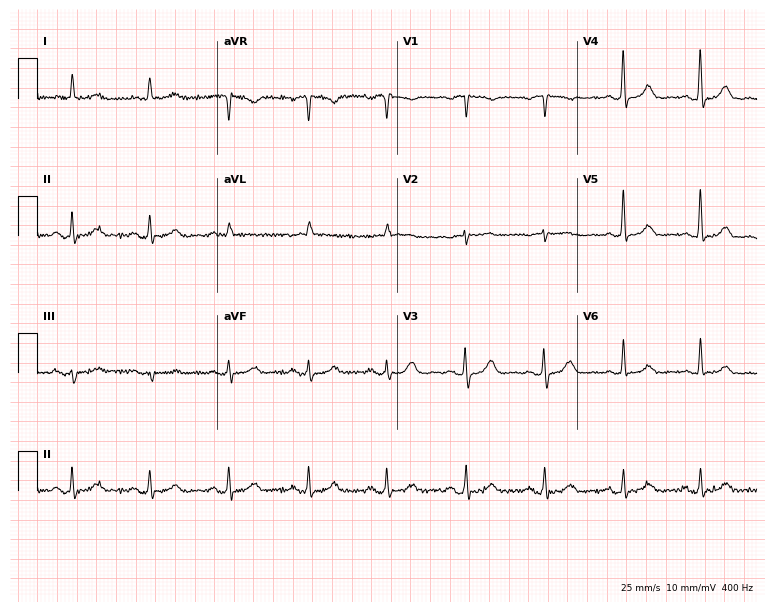
Resting 12-lead electrocardiogram. Patient: a 76-year-old female. None of these six findings is recorded: first-degree AV block, right bundle branch block, left bundle branch block, sinus bradycardia, atrial fibrillation, sinus tachycardia. Other findings, if any, are not listed.